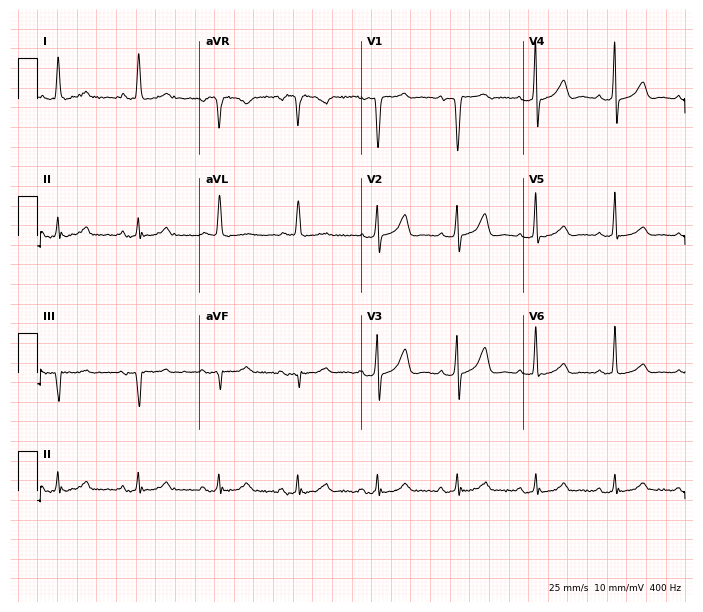
ECG (6.6-second recording at 400 Hz) — a 60-year-old female. Screened for six findings — first-degree AV block, right bundle branch block, left bundle branch block, sinus bradycardia, atrial fibrillation, sinus tachycardia — none is recorded.